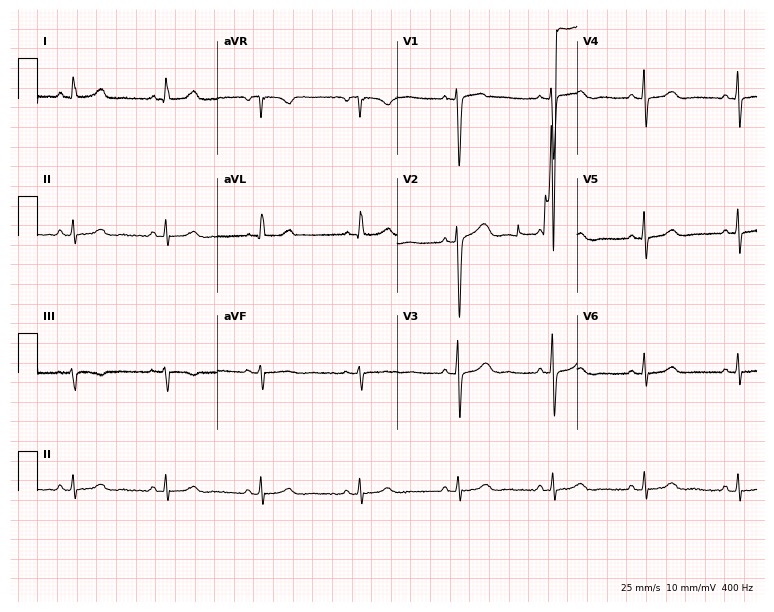
Standard 12-lead ECG recorded from a woman, 56 years old (7.3-second recording at 400 Hz). Read as a normal ECG.